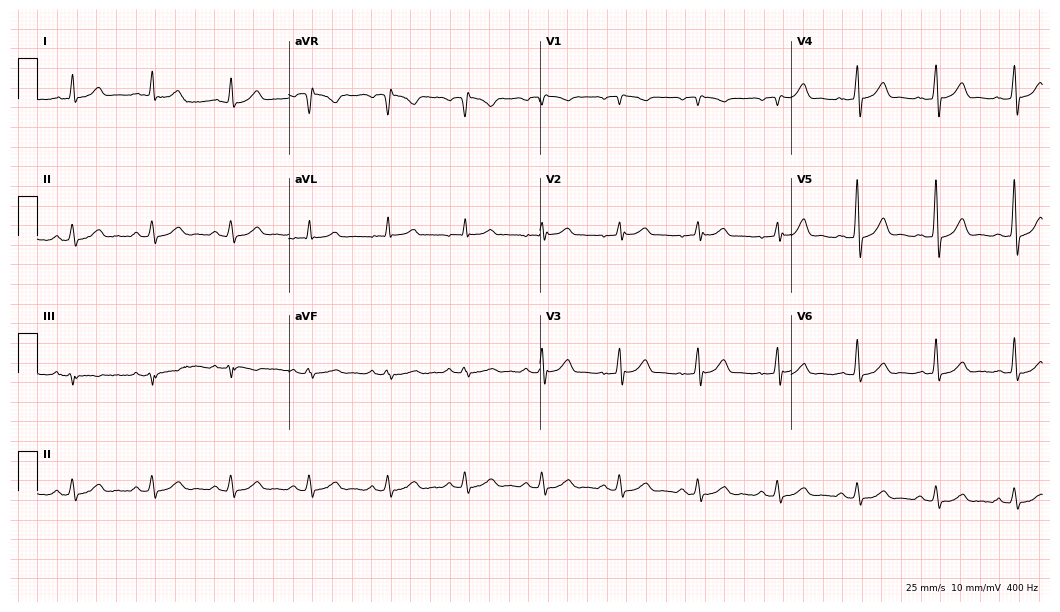
Standard 12-lead ECG recorded from a male, 66 years old (10.2-second recording at 400 Hz). Read as a normal ECG.